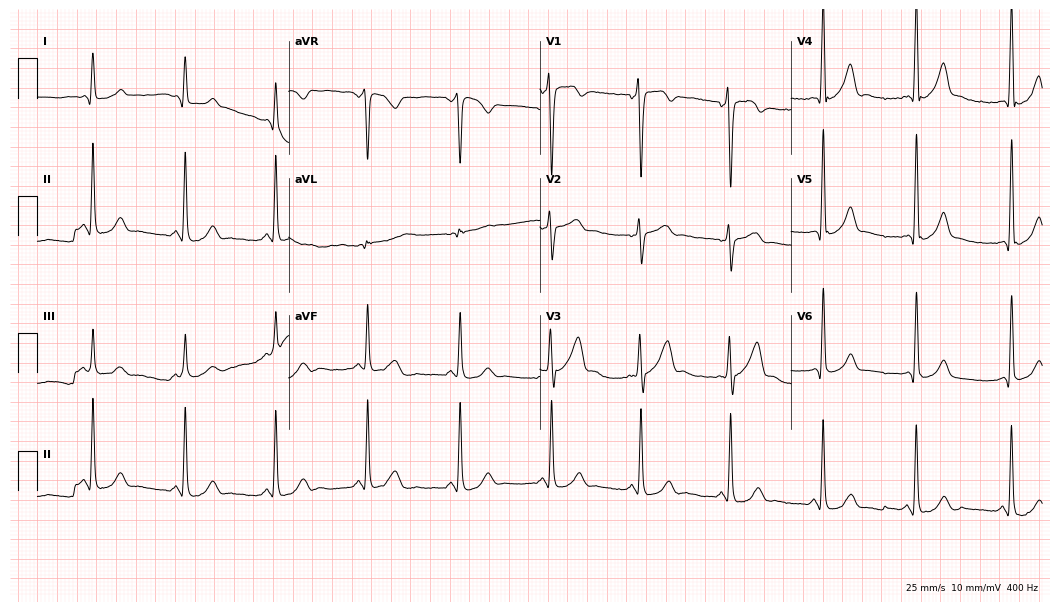
12-lead ECG from a 39-year-old man. Screened for six findings — first-degree AV block, right bundle branch block, left bundle branch block, sinus bradycardia, atrial fibrillation, sinus tachycardia — none is recorded.